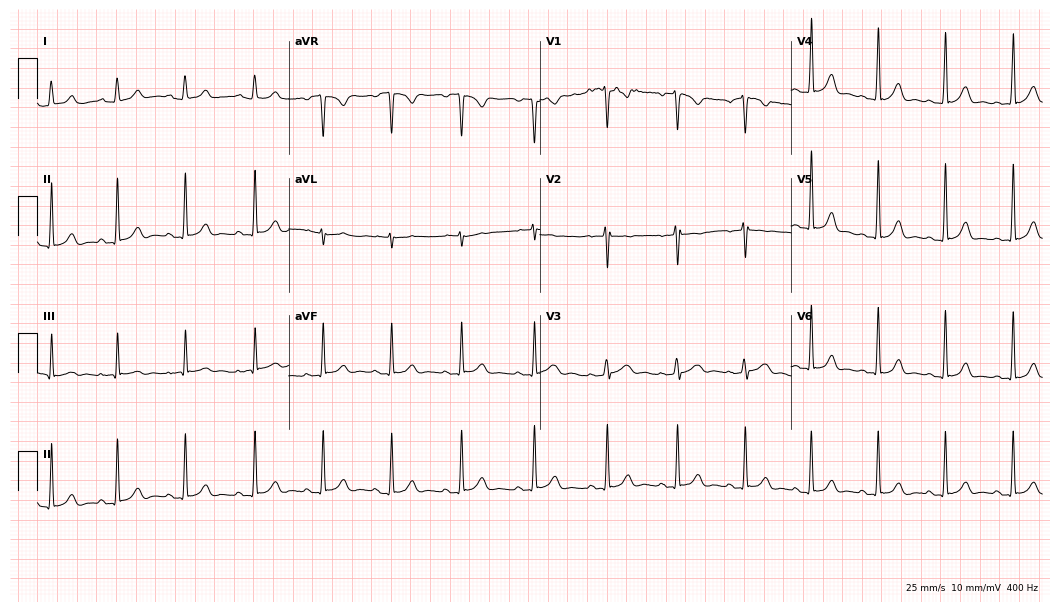
Resting 12-lead electrocardiogram. Patient: a 28-year-old female. Read as a normal ECG.